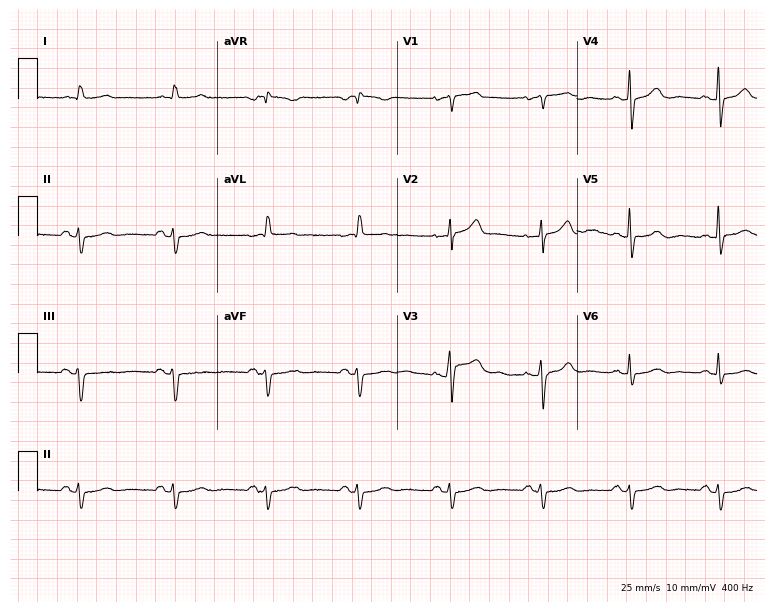
12-lead ECG from a male patient, 76 years old. No first-degree AV block, right bundle branch block, left bundle branch block, sinus bradycardia, atrial fibrillation or sinus tachycardia recorded for this tracing. Only these six findings were labelled.